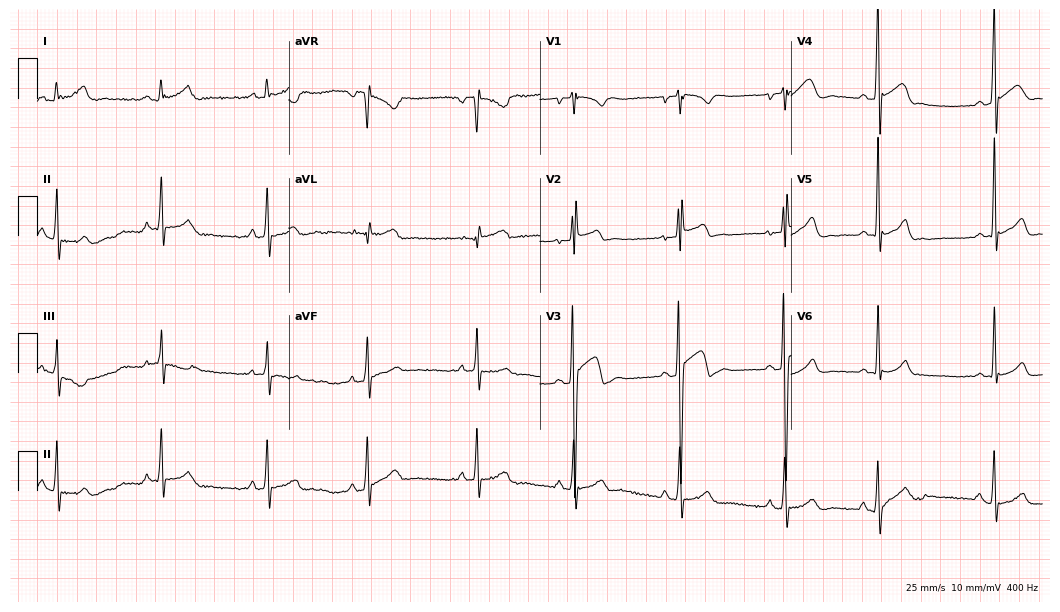
12-lead ECG from a 17-year-old male patient (10.2-second recording at 400 Hz). No first-degree AV block, right bundle branch block, left bundle branch block, sinus bradycardia, atrial fibrillation or sinus tachycardia recorded for this tracing.